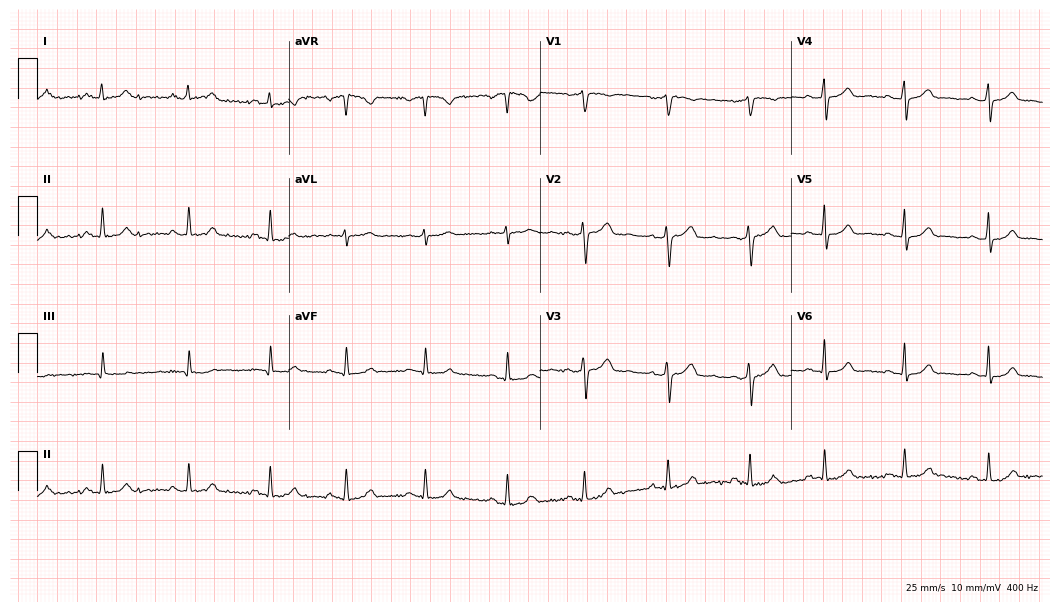
Resting 12-lead electrocardiogram (10.2-second recording at 400 Hz). Patient: a 23-year-old woman. Read as a normal ECG.